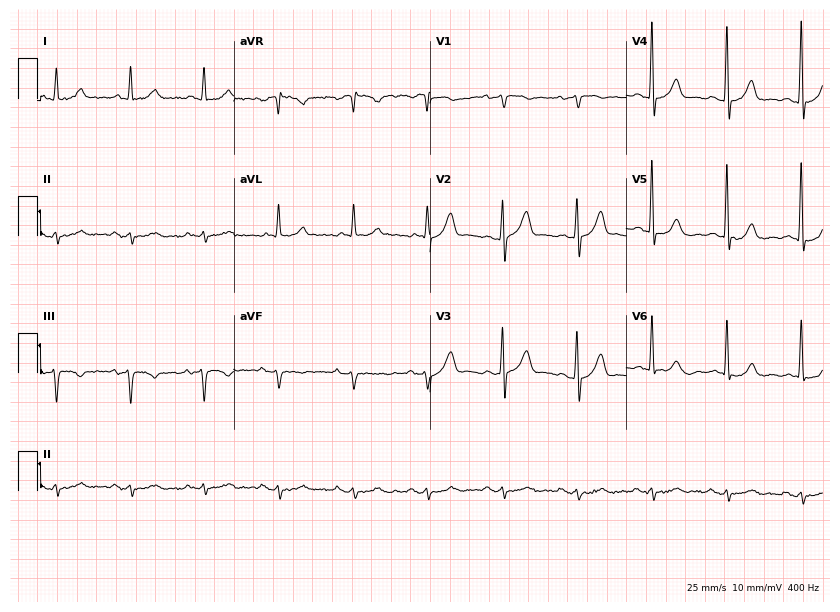
12-lead ECG from an 80-year-old male patient. No first-degree AV block, right bundle branch block, left bundle branch block, sinus bradycardia, atrial fibrillation or sinus tachycardia recorded for this tracing. Other findings, if any, are not listed.